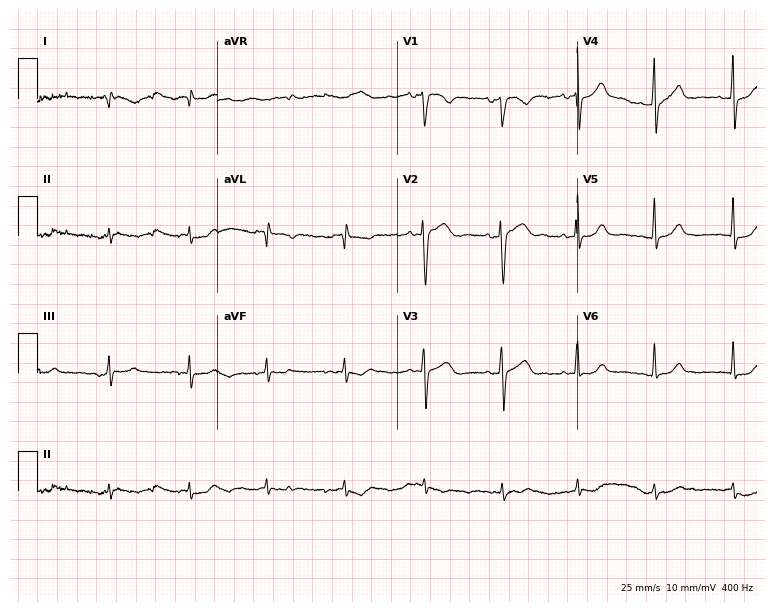
12-lead ECG from a 37-year-old female. No first-degree AV block, right bundle branch block (RBBB), left bundle branch block (LBBB), sinus bradycardia, atrial fibrillation (AF) or sinus tachycardia recorded for this tracing.